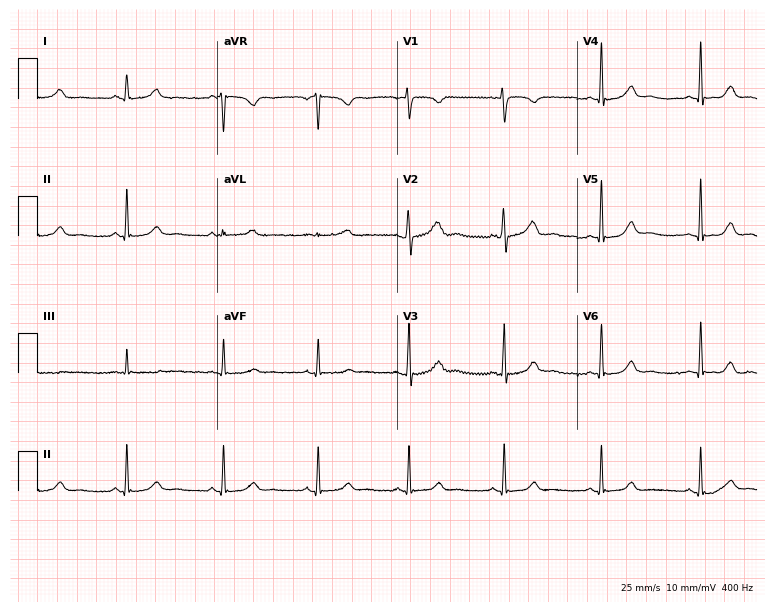
Standard 12-lead ECG recorded from a 20-year-old woman. Read as a normal ECG.